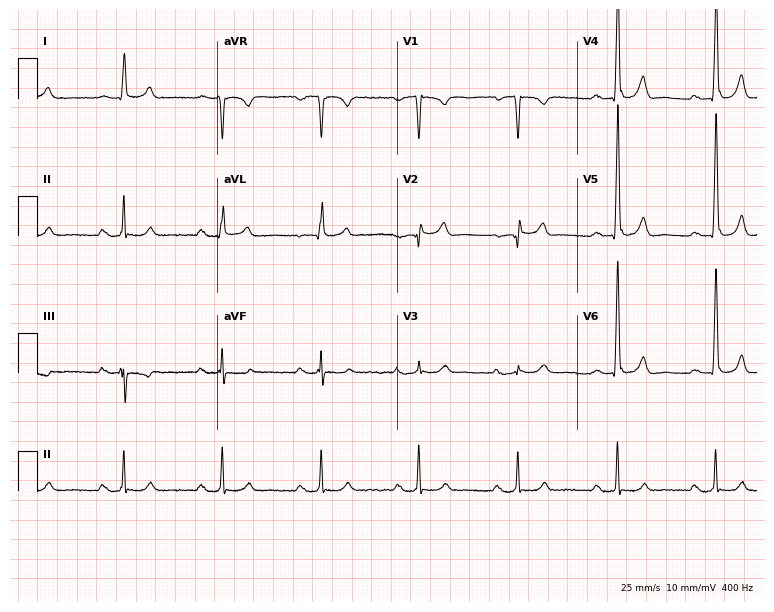
12-lead ECG from a woman, 75 years old. Shows first-degree AV block.